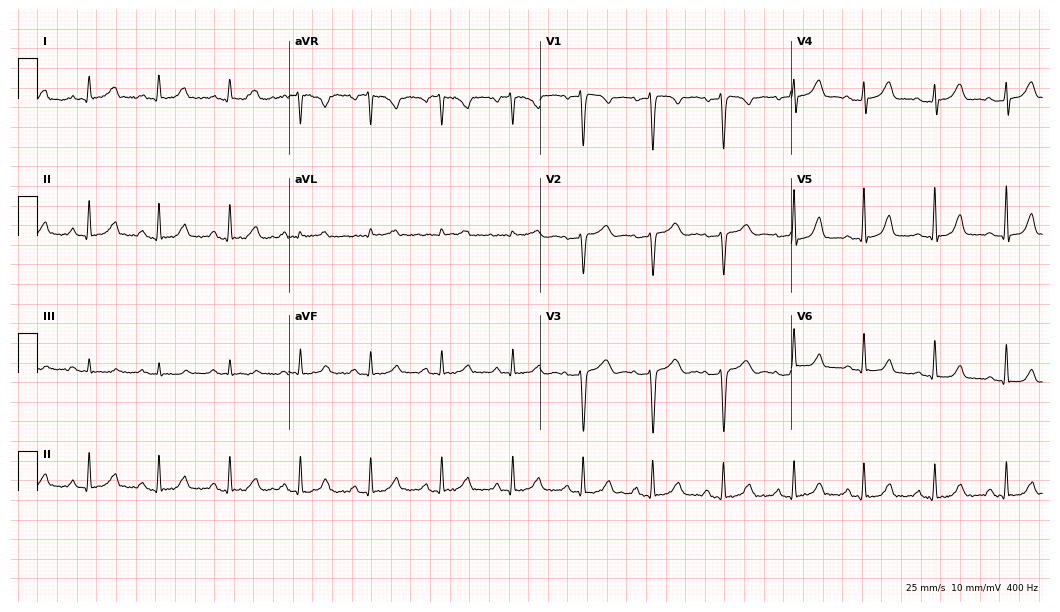
ECG (10.2-second recording at 400 Hz) — a female, 41 years old. Labelled as a normal ECG.